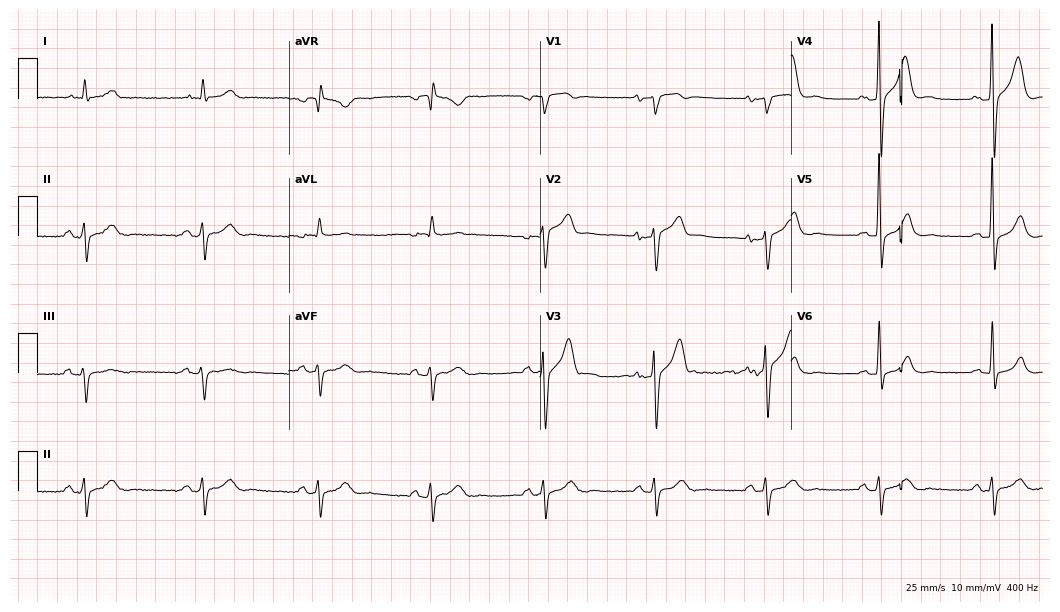
ECG (10.2-second recording at 400 Hz) — a male, 80 years old. Screened for six findings — first-degree AV block, right bundle branch block (RBBB), left bundle branch block (LBBB), sinus bradycardia, atrial fibrillation (AF), sinus tachycardia — none is recorded. Other findings, if any, are not listed.